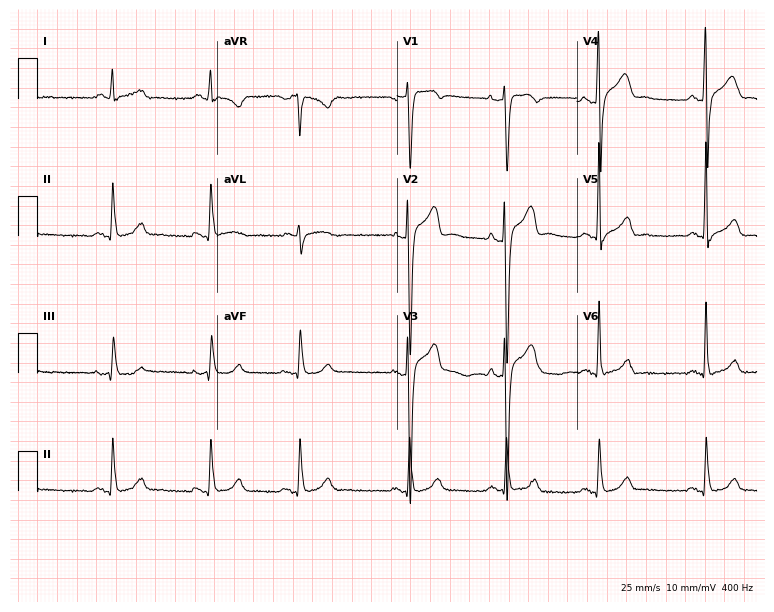
12-lead ECG from a male, 63 years old (7.3-second recording at 400 Hz). No first-degree AV block, right bundle branch block, left bundle branch block, sinus bradycardia, atrial fibrillation or sinus tachycardia recorded for this tracing. Findings outside these six are not listed.